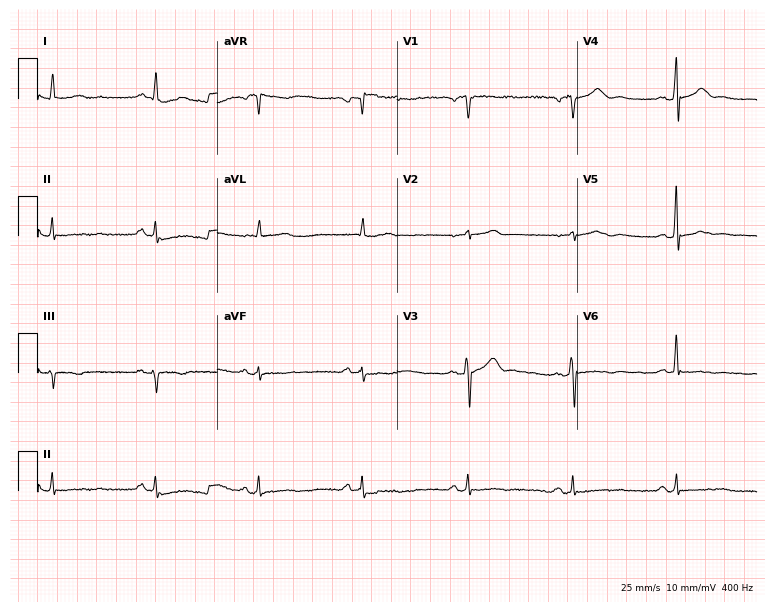
12-lead ECG from a 67-year-old male (7.3-second recording at 400 Hz). No first-degree AV block, right bundle branch block, left bundle branch block, sinus bradycardia, atrial fibrillation or sinus tachycardia recorded for this tracing. Only these six findings were labelled.